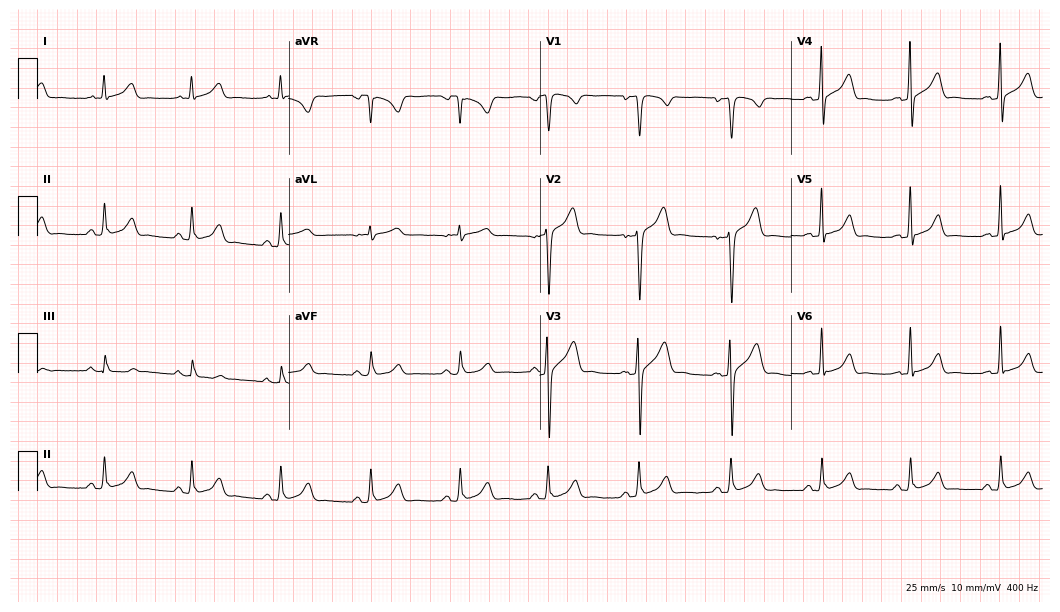
12-lead ECG (10.2-second recording at 400 Hz) from a male patient, 42 years old. Labelled as a normal ECG.